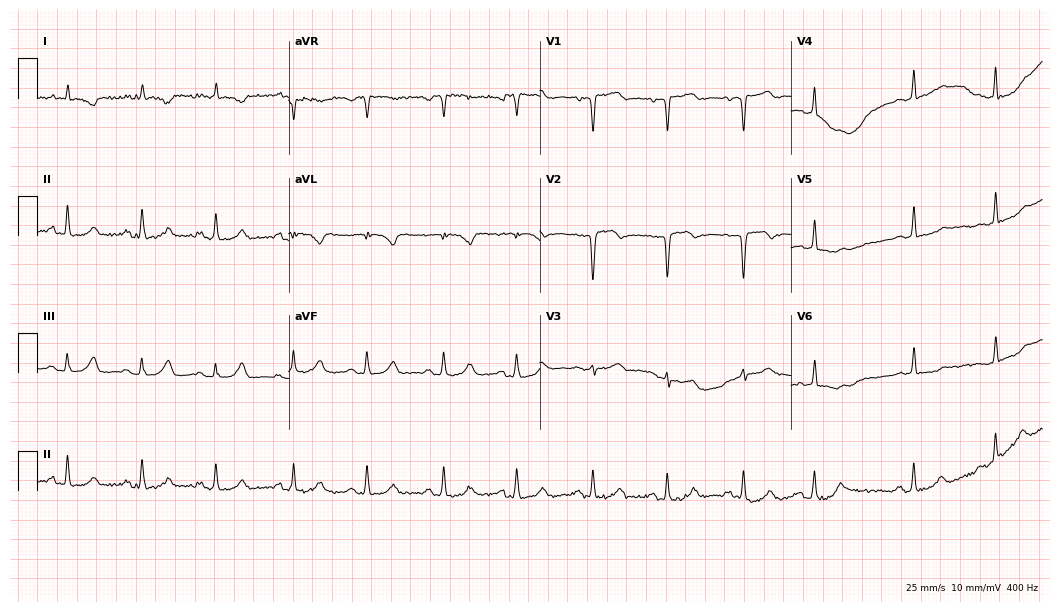
ECG — a female patient, 58 years old. Screened for six findings — first-degree AV block, right bundle branch block (RBBB), left bundle branch block (LBBB), sinus bradycardia, atrial fibrillation (AF), sinus tachycardia — none is recorded. Other findings, if any, are not listed.